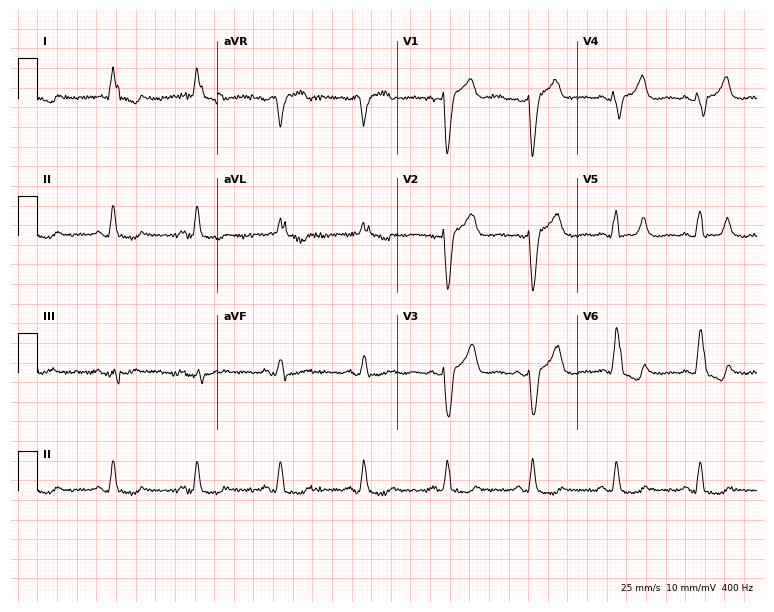
ECG — an 85-year-old woman. Findings include left bundle branch block (LBBB).